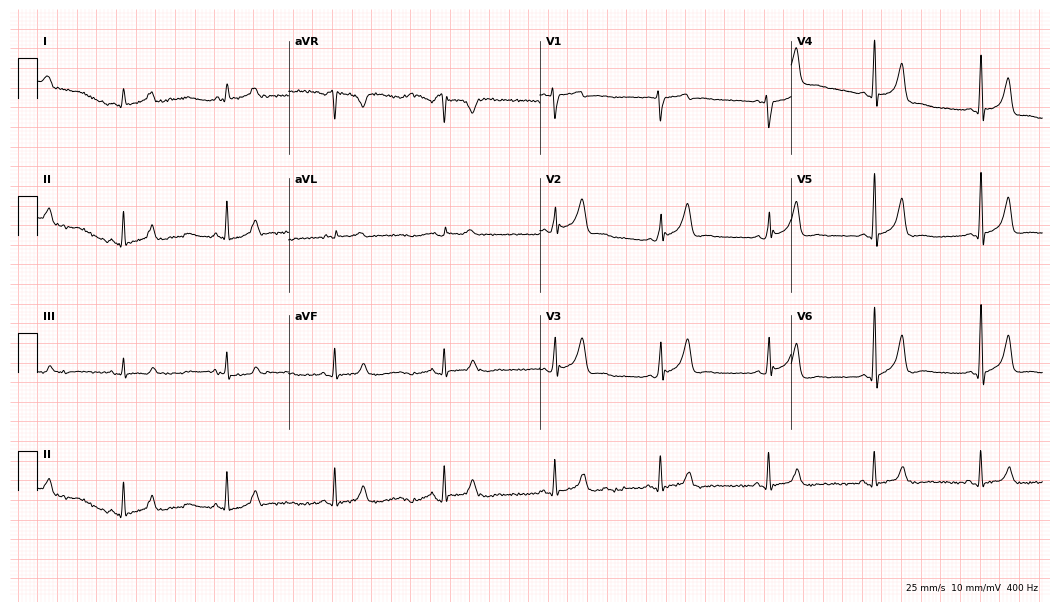
ECG (10.2-second recording at 400 Hz) — a 51-year-old male. Labelled as a normal ECG.